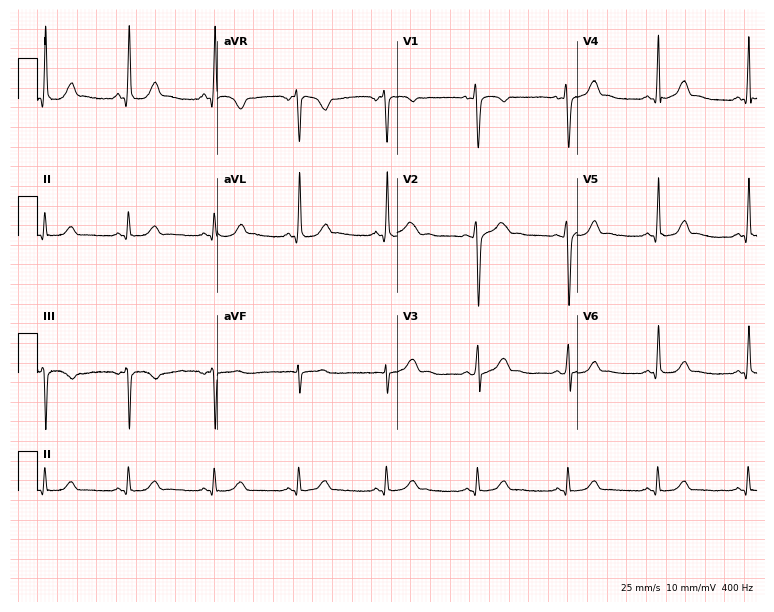
12-lead ECG from a 29-year-old female (7.3-second recording at 400 Hz). No first-degree AV block, right bundle branch block, left bundle branch block, sinus bradycardia, atrial fibrillation or sinus tachycardia recorded for this tracing.